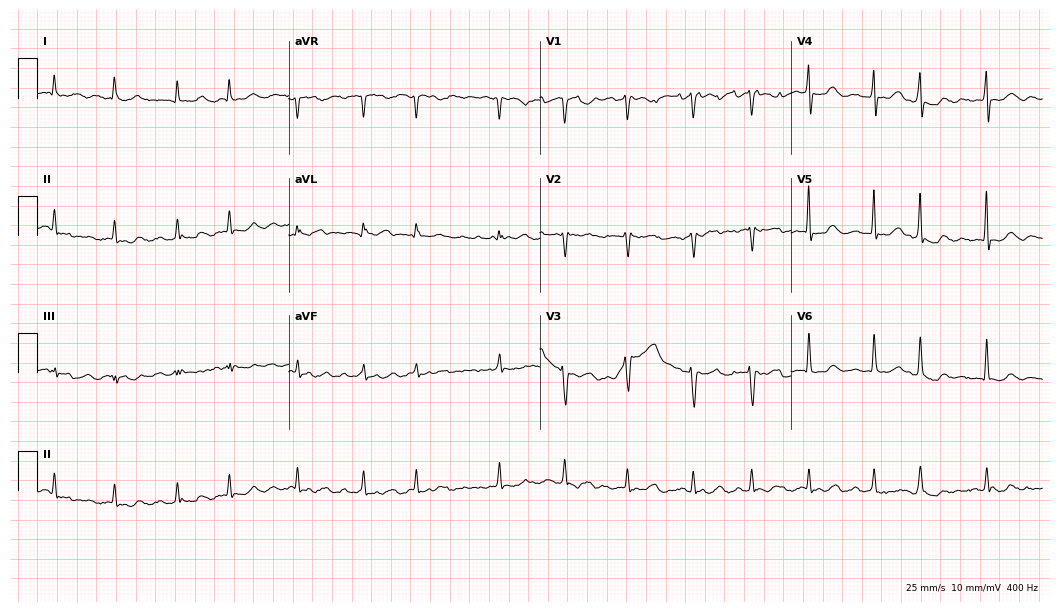
ECG — a 73-year-old female patient. Findings include atrial fibrillation (AF).